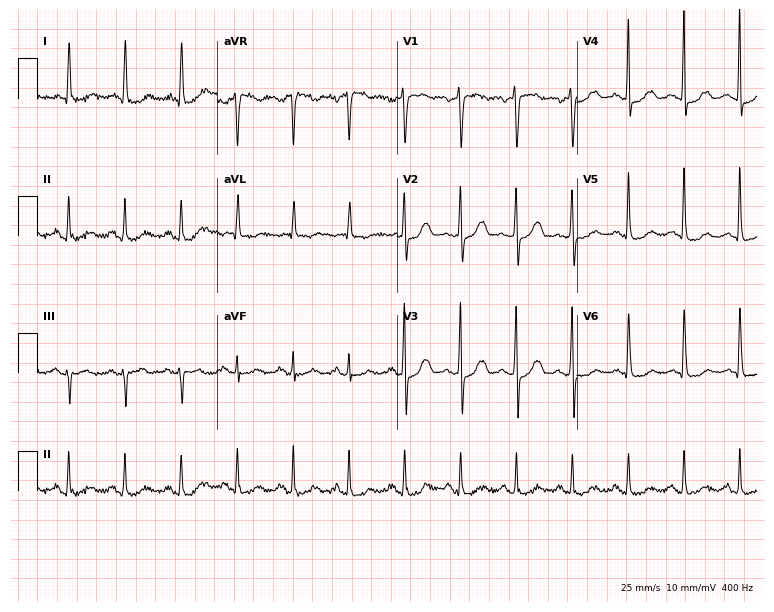
Standard 12-lead ECG recorded from a 63-year-old female. The tracing shows sinus tachycardia (a sinus rate of 100 beats per minute or more).